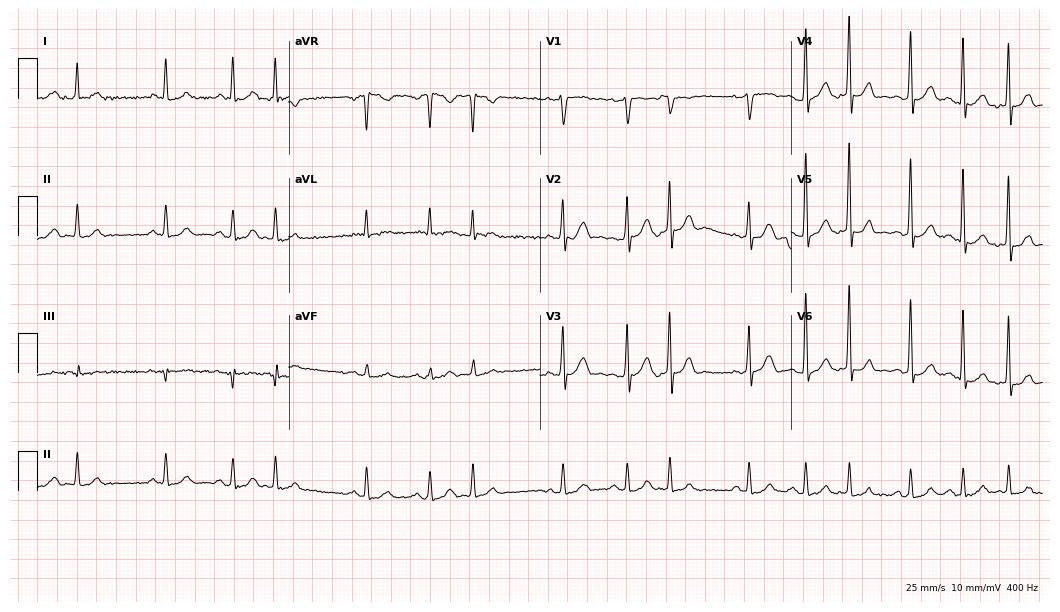
ECG — a man, 40 years old. Screened for six findings — first-degree AV block, right bundle branch block, left bundle branch block, sinus bradycardia, atrial fibrillation, sinus tachycardia — none is recorded.